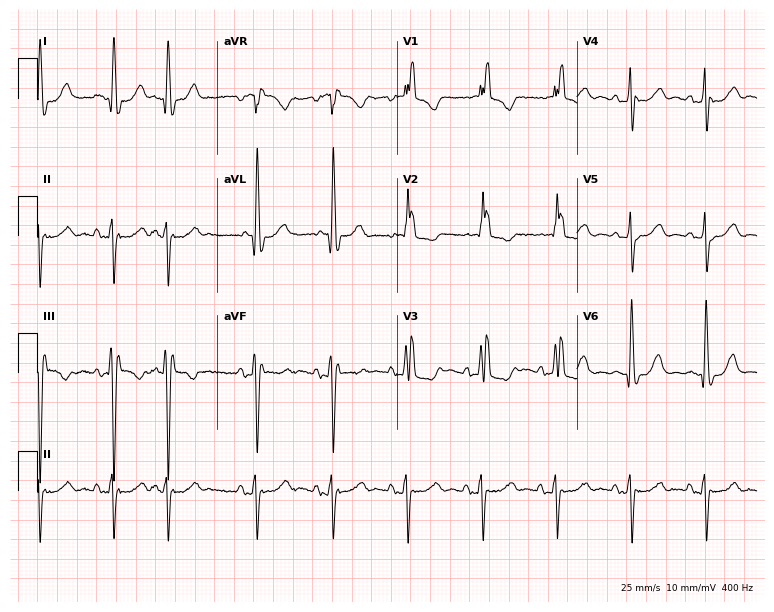
Electrocardiogram (7.3-second recording at 400 Hz), an 82-year-old female. Of the six screened findings (first-degree AV block, right bundle branch block, left bundle branch block, sinus bradycardia, atrial fibrillation, sinus tachycardia), none is recorded. Only these six findings were labelled.